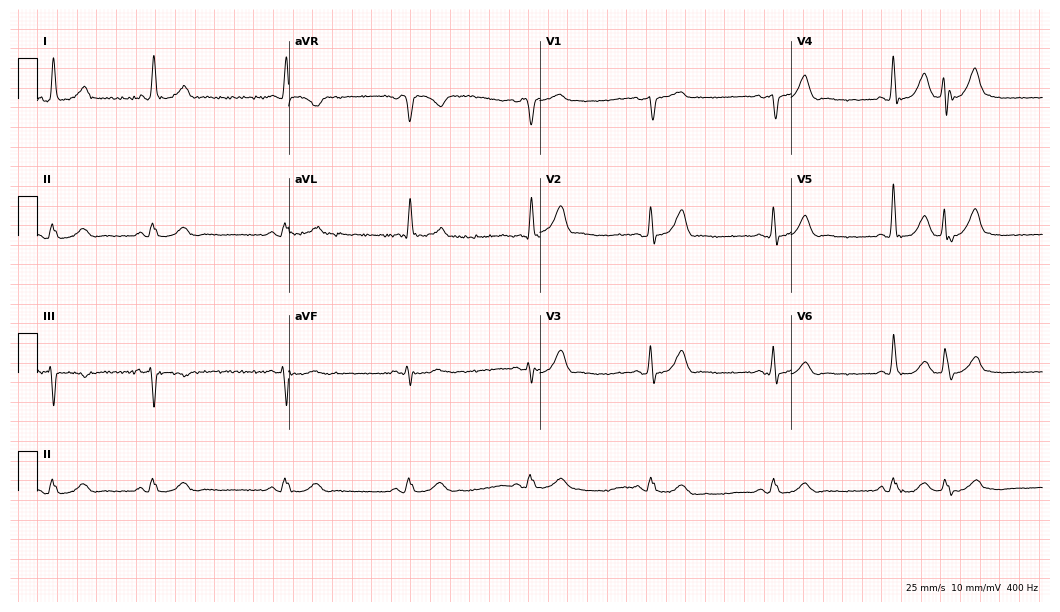
Electrocardiogram (10.2-second recording at 400 Hz), an 80-year-old man. Interpretation includes sinus bradycardia (a sinus rate of 50 beats per minute or less).